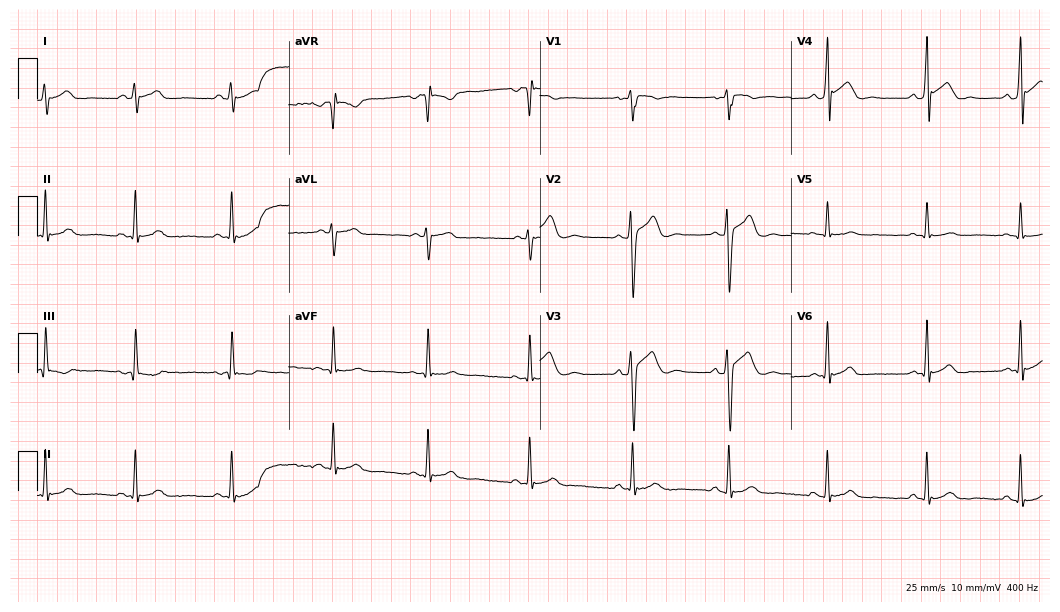
12-lead ECG from a 26-year-old male (10.2-second recording at 400 Hz). No first-degree AV block, right bundle branch block (RBBB), left bundle branch block (LBBB), sinus bradycardia, atrial fibrillation (AF) or sinus tachycardia recorded for this tracing.